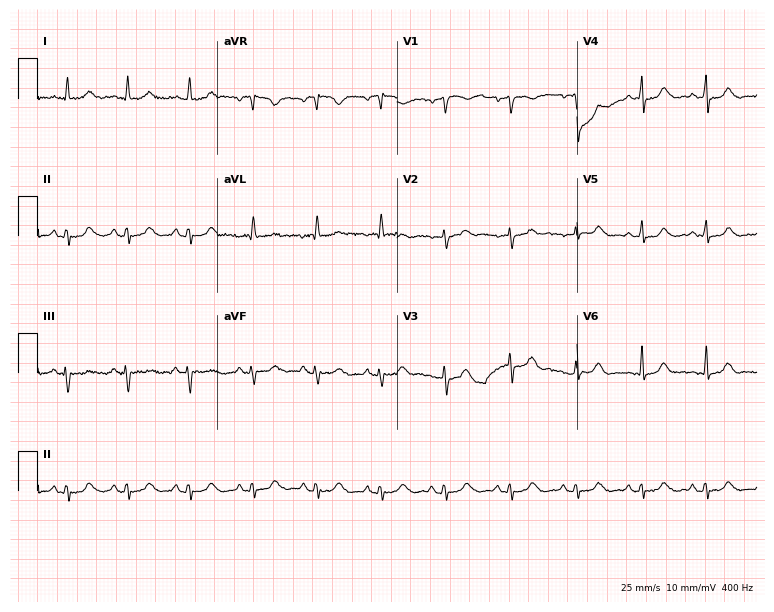
Standard 12-lead ECG recorded from a 50-year-old female patient. Read as a normal ECG.